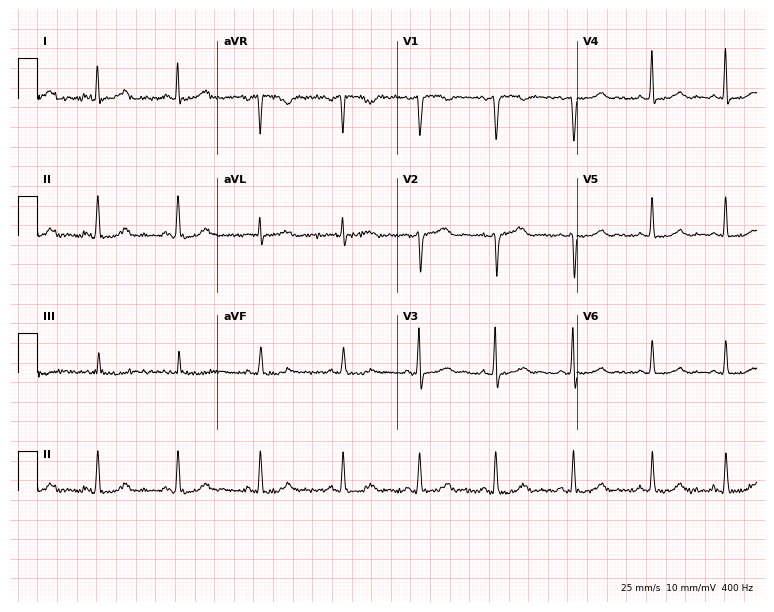
Standard 12-lead ECG recorded from a 42-year-old woman (7.3-second recording at 400 Hz). Read as a normal ECG.